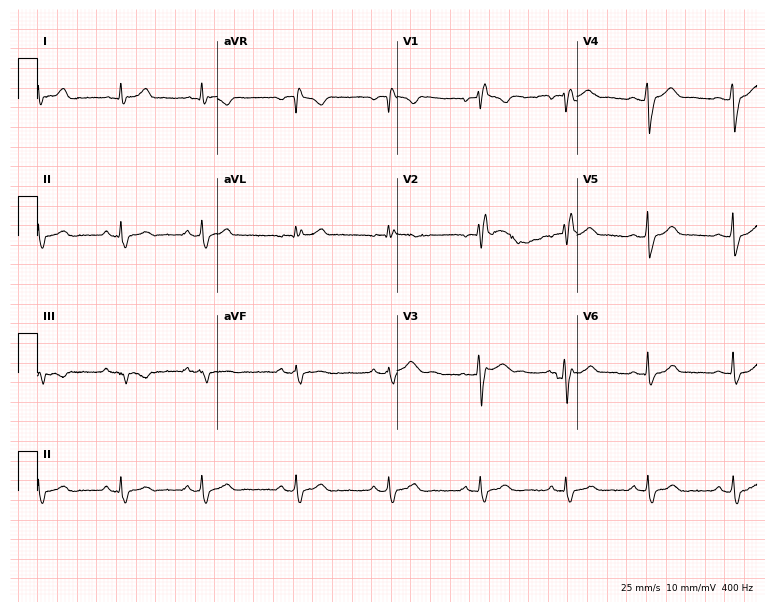
Electrocardiogram (7.3-second recording at 400 Hz), a 27-year-old man. Of the six screened findings (first-degree AV block, right bundle branch block, left bundle branch block, sinus bradycardia, atrial fibrillation, sinus tachycardia), none is recorded.